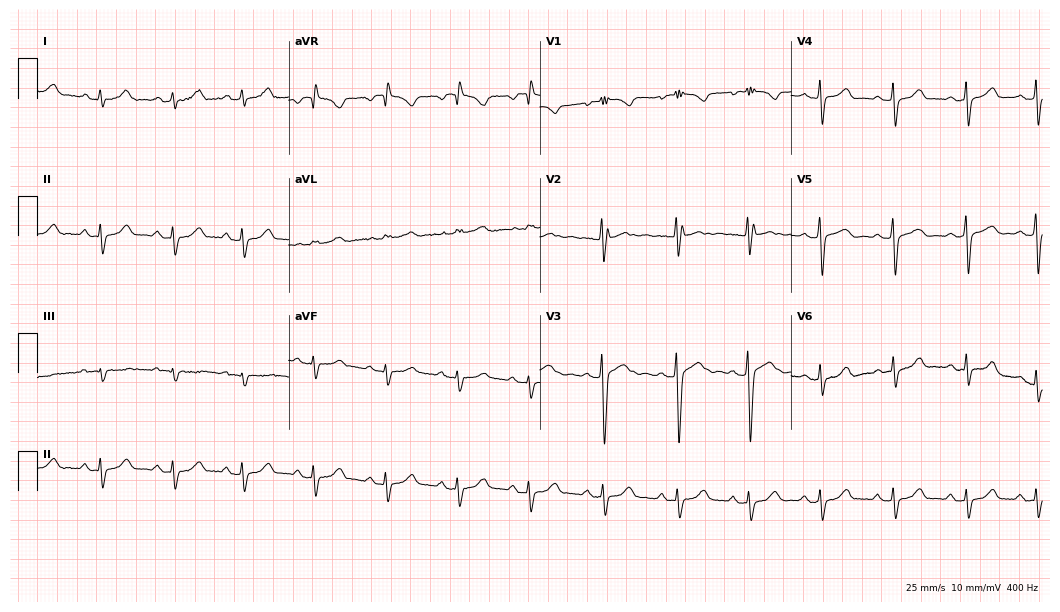
ECG (10.2-second recording at 400 Hz) — a 25-year-old woman. Screened for six findings — first-degree AV block, right bundle branch block, left bundle branch block, sinus bradycardia, atrial fibrillation, sinus tachycardia — none is recorded. Only these six findings were labelled.